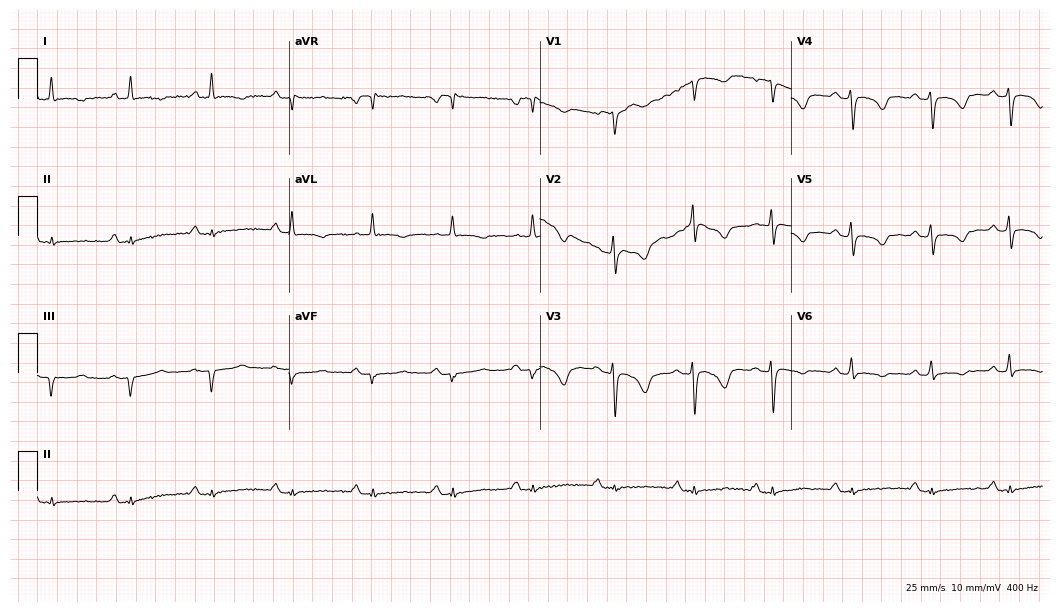
Resting 12-lead electrocardiogram. Patient: a 58-year-old woman. None of these six findings is recorded: first-degree AV block, right bundle branch block (RBBB), left bundle branch block (LBBB), sinus bradycardia, atrial fibrillation (AF), sinus tachycardia. Only these six findings were labelled.